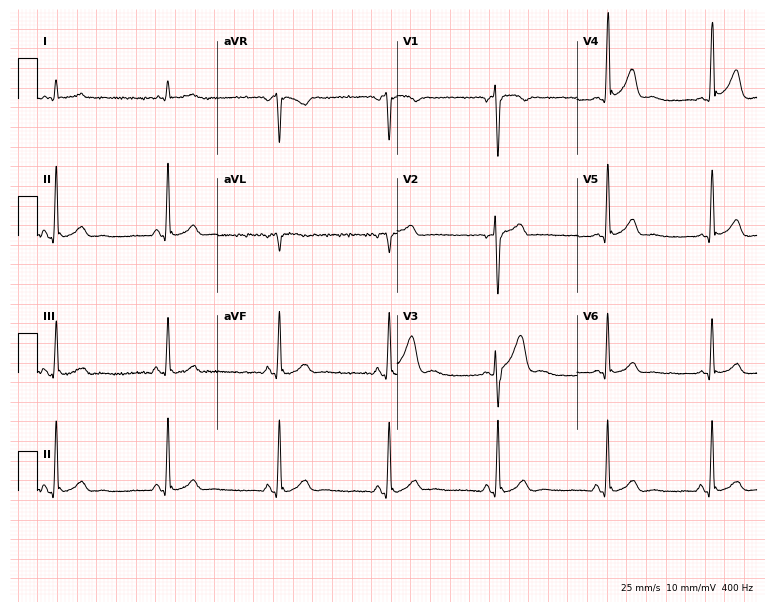
Electrocardiogram (7.3-second recording at 400 Hz), a 22-year-old male. Overall reading on record: normal ECG.